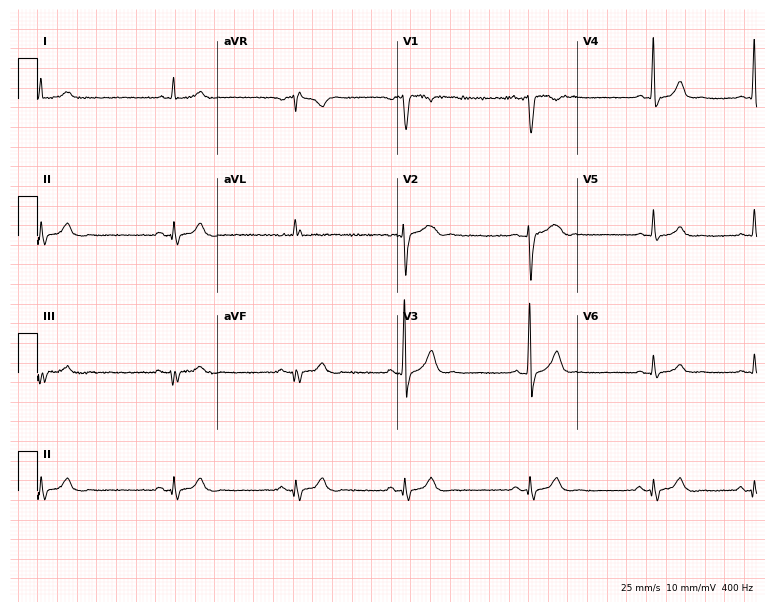
Resting 12-lead electrocardiogram. Patient: a male, 29 years old. The tracing shows sinus bradycardia (a sinus rate of 50 beats per minute or less).